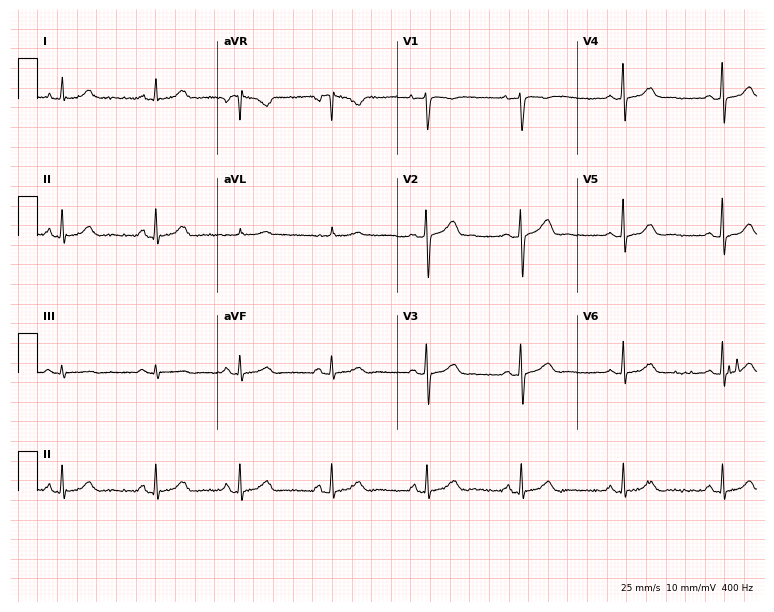
12-lead ECG (7.3-second recording at 400 Hz) from a female, 37 years old. Labelled as a normal ECG.